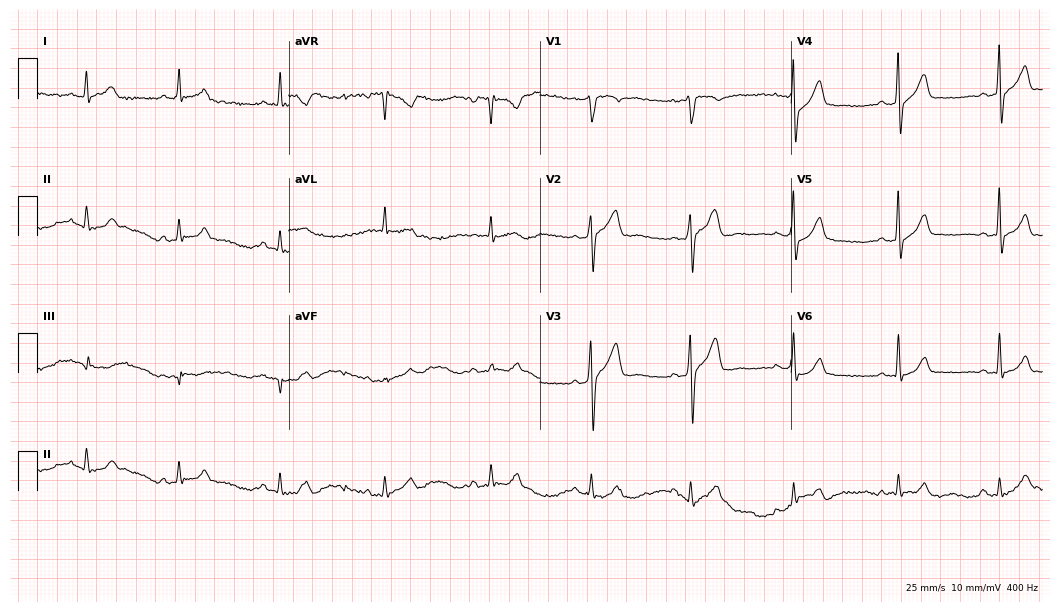
Electrocardiogram (10.2-second recording at 400 Hz), a male patient, 43 years old. Overall reading on record: normal ECG.